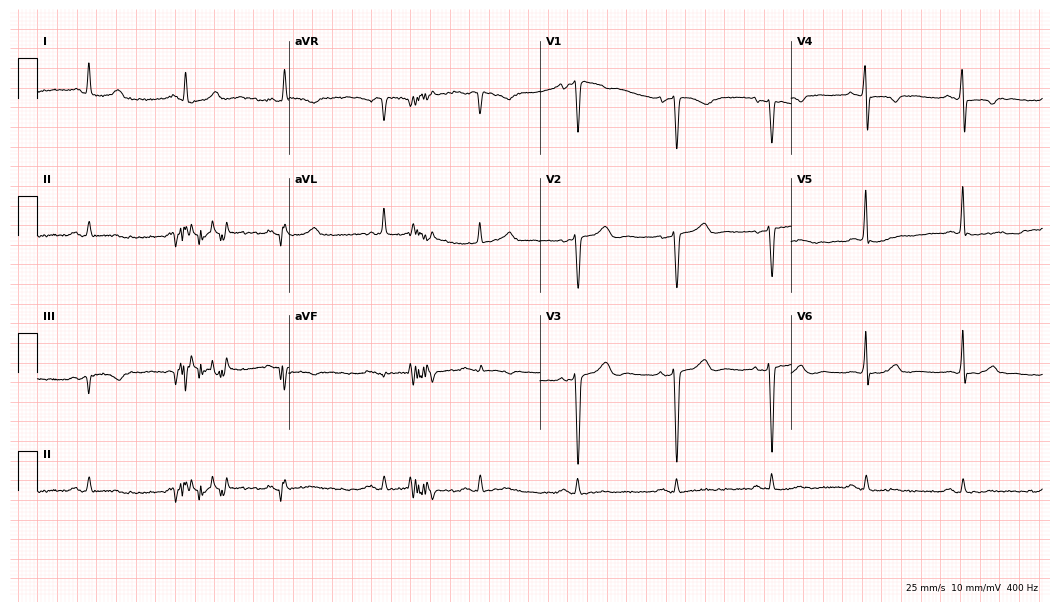
12-lead ECG from a male patient, 83 years old. No first-degree AV block, right bundle branch block (RBBB), left bundle branch block (LBBB), sinus bradycardia, atrial fibrillation (AF) or sinus tachycardia recorded for this tracing.